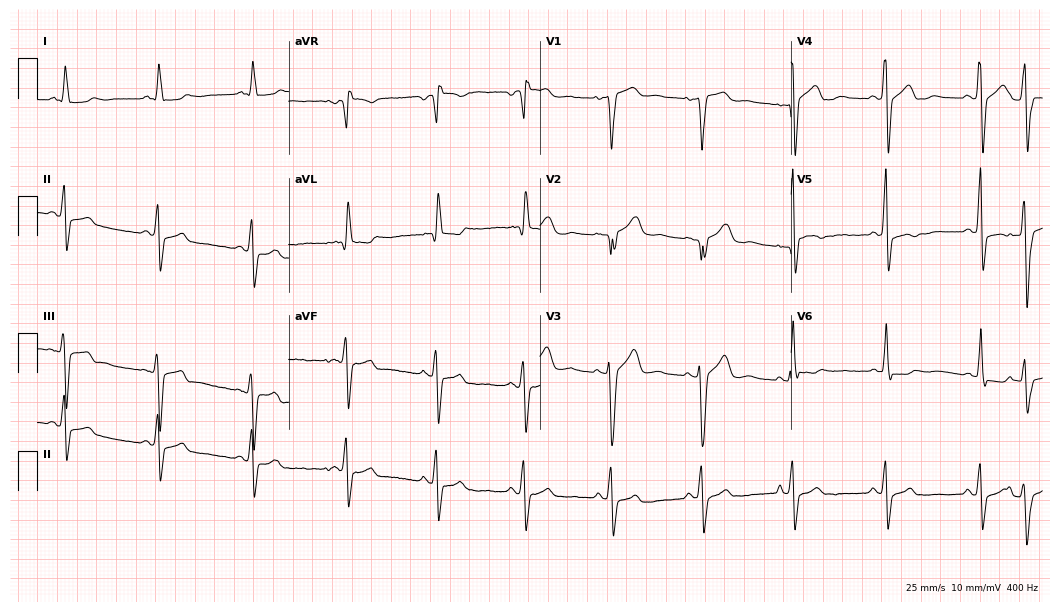
Electrocardiogram (10.2-second recording at 400 Hz), a male, 76 years old. Interpretation includes left bundle branch block.